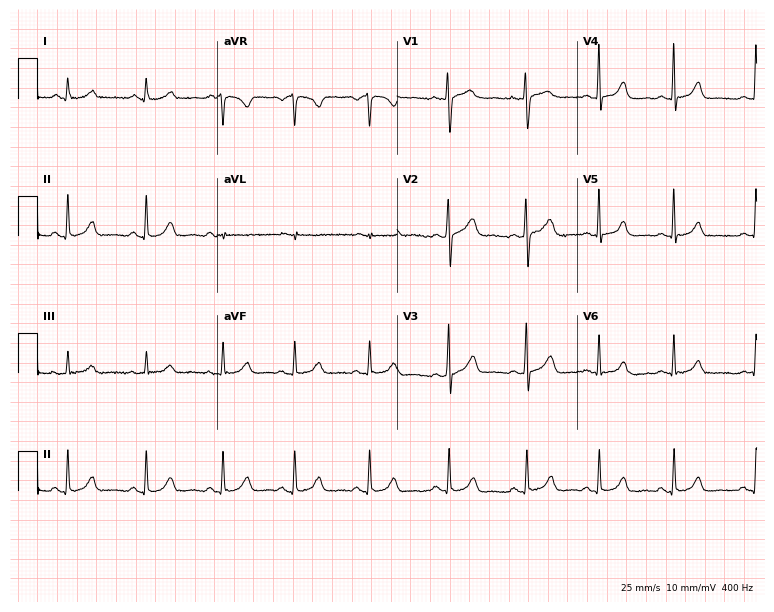
12-lead ECG from a 22-year-old female. Labelled as a normal ECG.